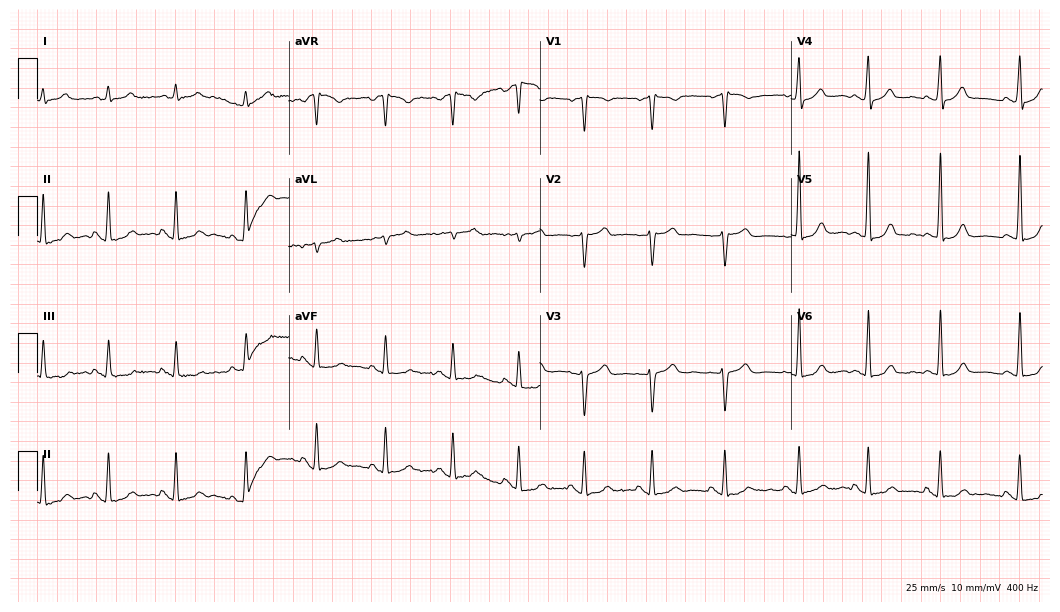
Standard 12-lead ECG recorded from a 36-year-old female (10.2-second recording at 400 Hz). Read as a normal ECG.